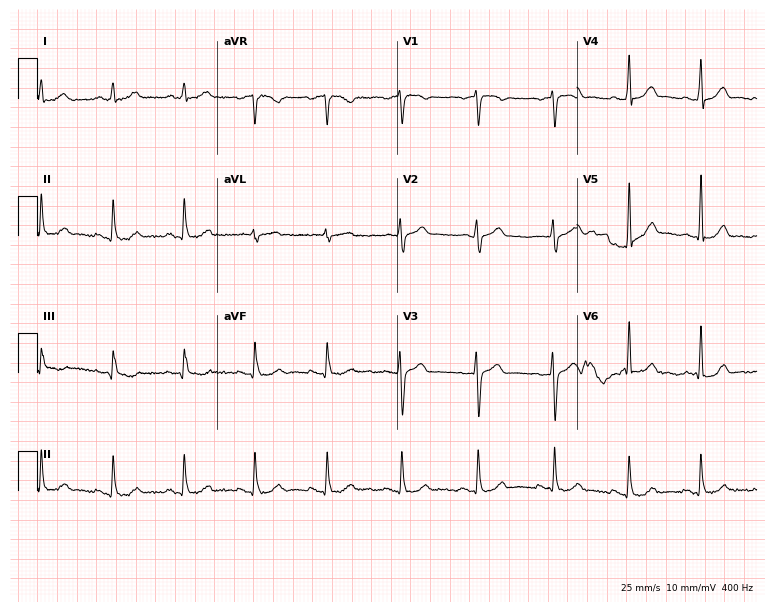
12-lead ECG from a 45-year-old male patient. Recorded interpretation: within normal limits.